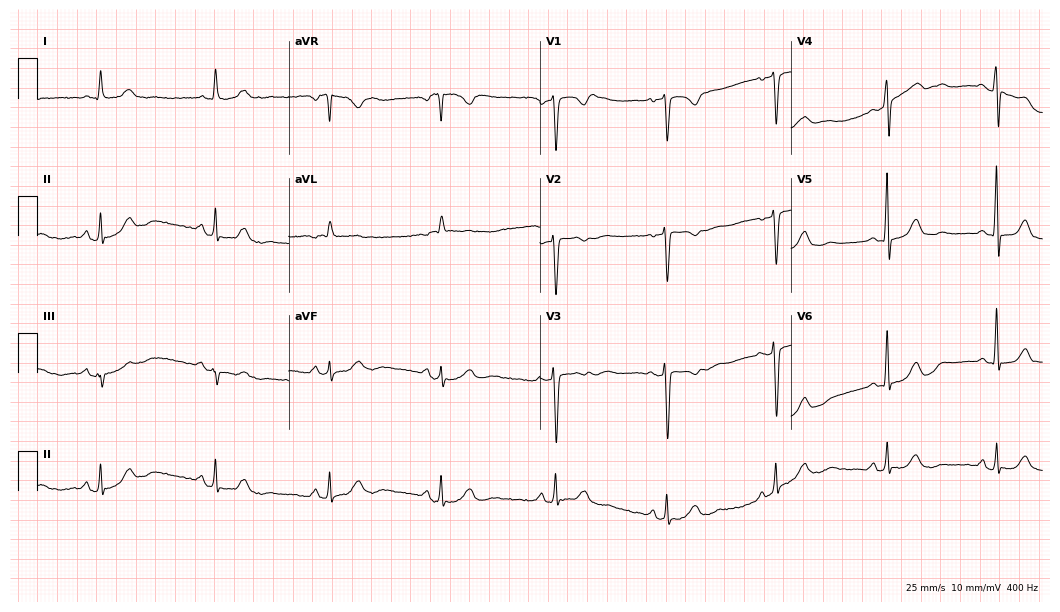
12-lead ECG from a woman, 57 years old (10.2-second recording at 400 Hz). No first-degree AV block, right bundle branch block, left bundle branch block, sinus bradycardia, atrial fibrillation or sinus tachycardia recorded for this tracing.